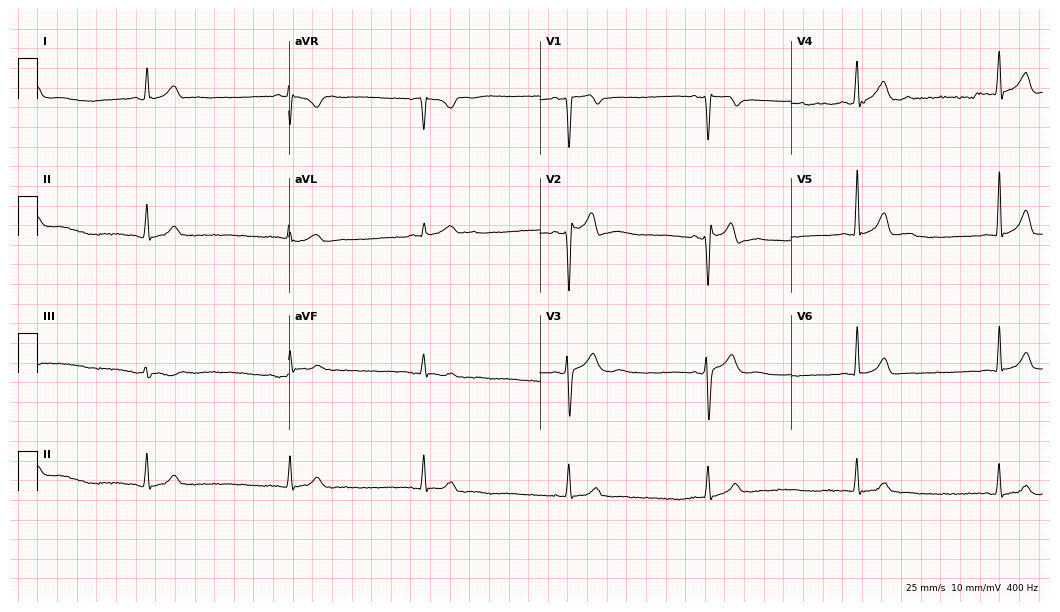
Resting 12-lead electrocardiogram (10.2-second recording at 400 Hz). Patient: a 23-year-old male. The tracing shows sinus bradycardia (a sinus rate of 50 beats per minute or less).